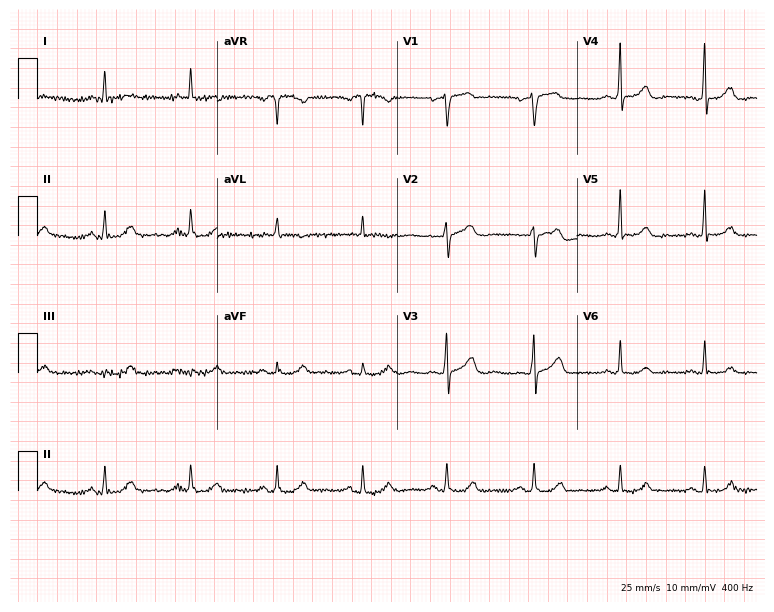
ECG — a 69-year-old woman. Screened for six findings — first-degree AV block, right bundle branch block (RBBB), left bundle branch block (LBBB), sinus bradycardia, atrial fibrillation (AF), sinus tachycardia — none is recorded.